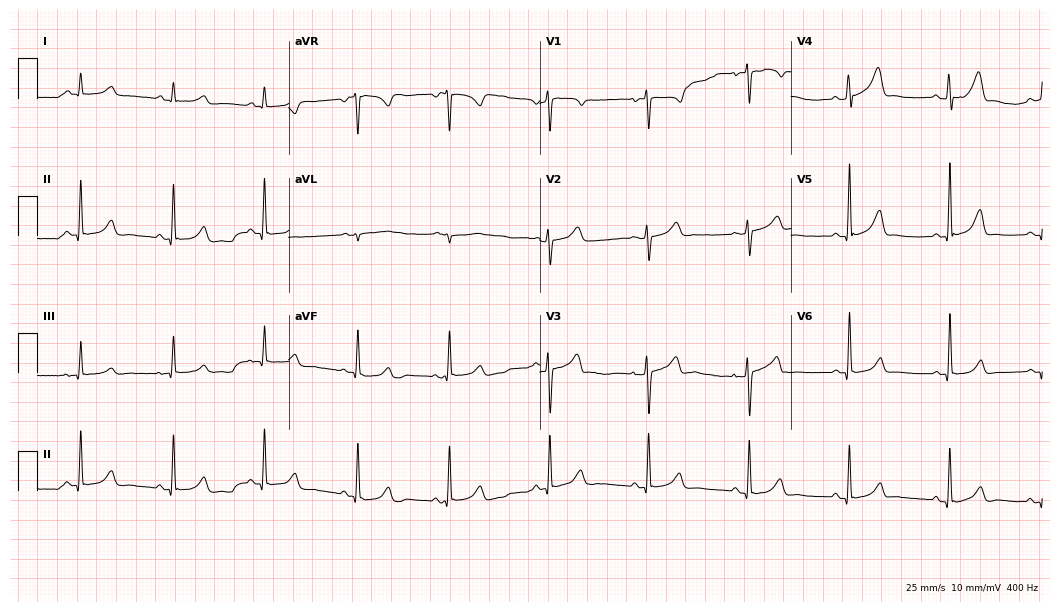
Resting 12-lead electrocardiogram. Patient: a 30-year-old female. Read as a normal ECG.